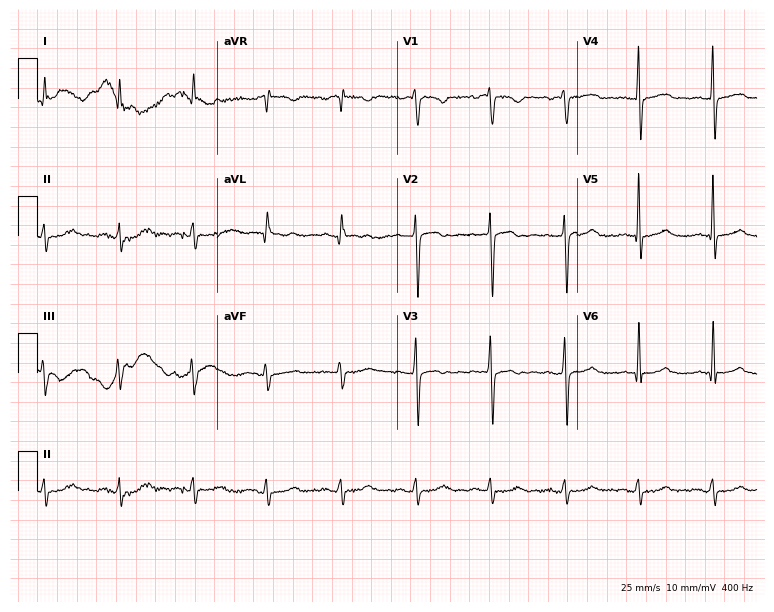
12-lead ECG from a 62-year-old male patient. Labelled as a normal ECG.